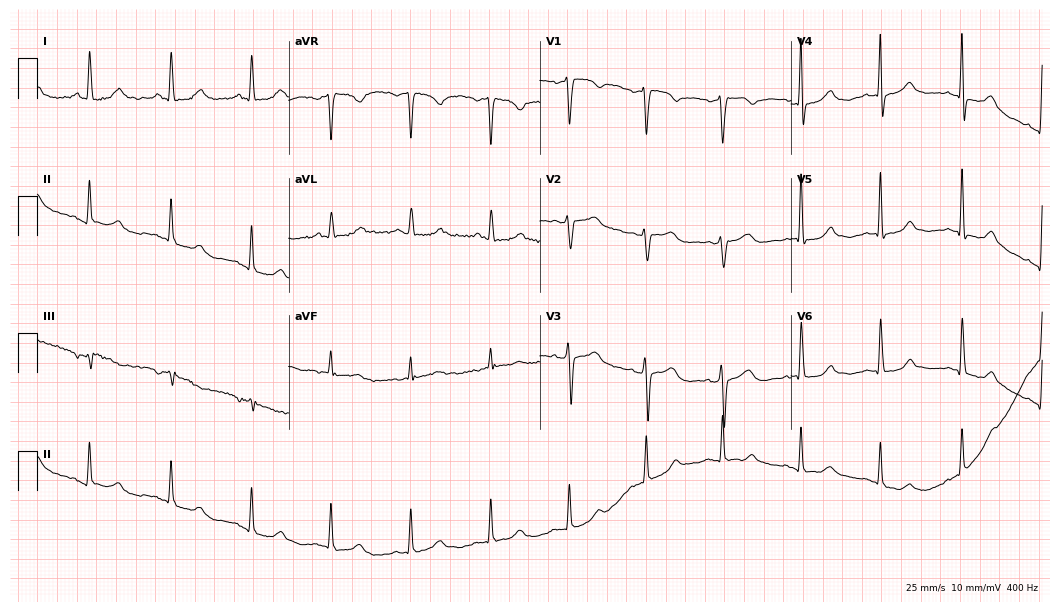
Standard 12-lead ECG recorded from a 51-year-old female. None of these six findings is recorded: first-degree AV block, right bundle branch block (RBBB), left bundle branch block (LBBB), sinus bradycardia, atrial fibrillation (AF), sinus tachycardia. Other findings, if any, are not listed.